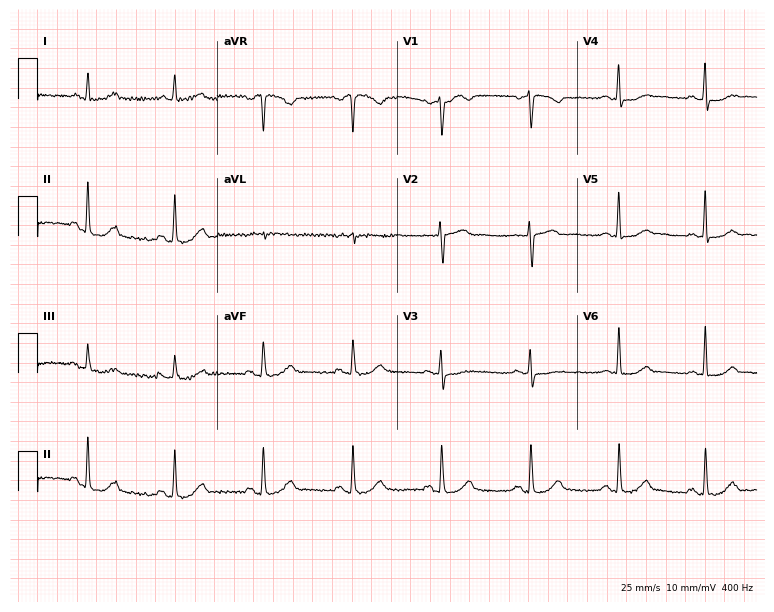
Resting 12-lead electrocardiogram. Patient: a female, 85 years old. Read as a normal ECG.